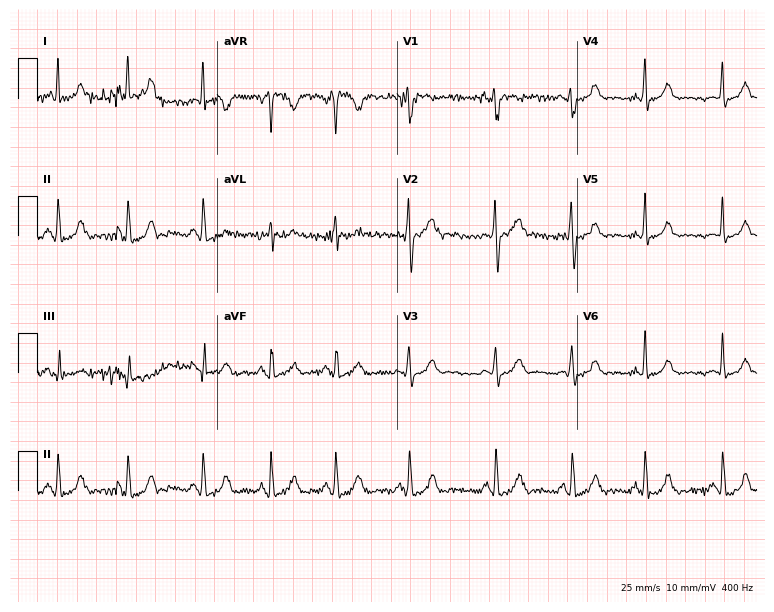
Electrocardiogram, a woman, 23 years old. Overall reading on record: normal ECG.